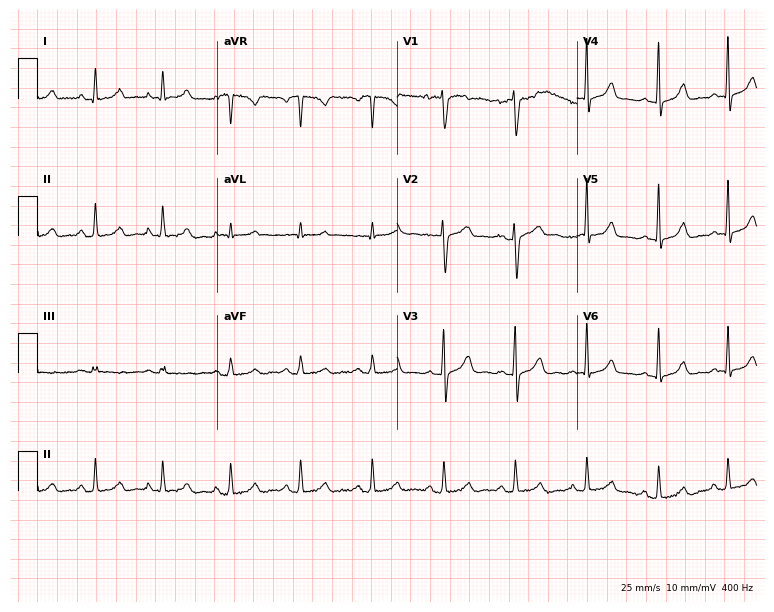
Electrocardiogram (7.3-second recording at 400 Hz), a woman, 39 years old. Overall reading on record: normal ECG.